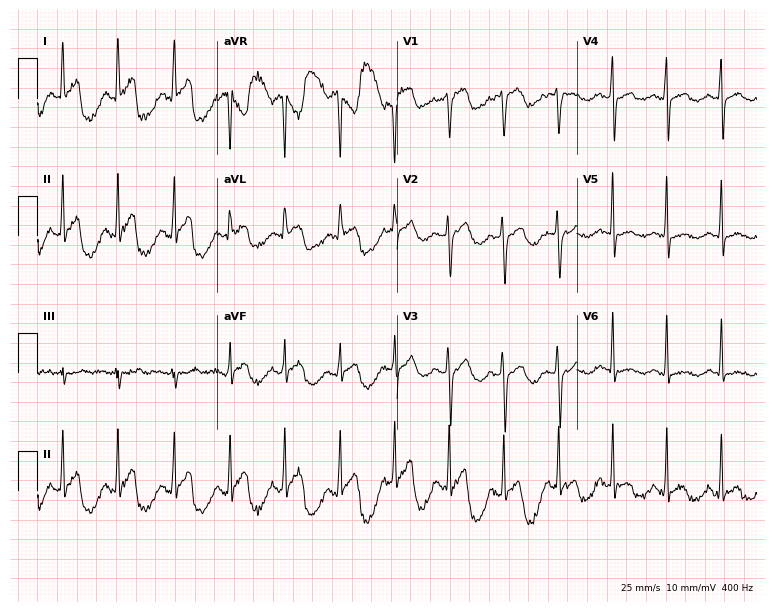
Standard 12-lead ECG recorded from a 40-year-old female. None of these six findings is recorded: first-degree AV block, right bundle branch block, left bundle branch block, sinus bradycardia, atrial fibrillation, sinus tachycardia. Other findings, if any, are not listed.